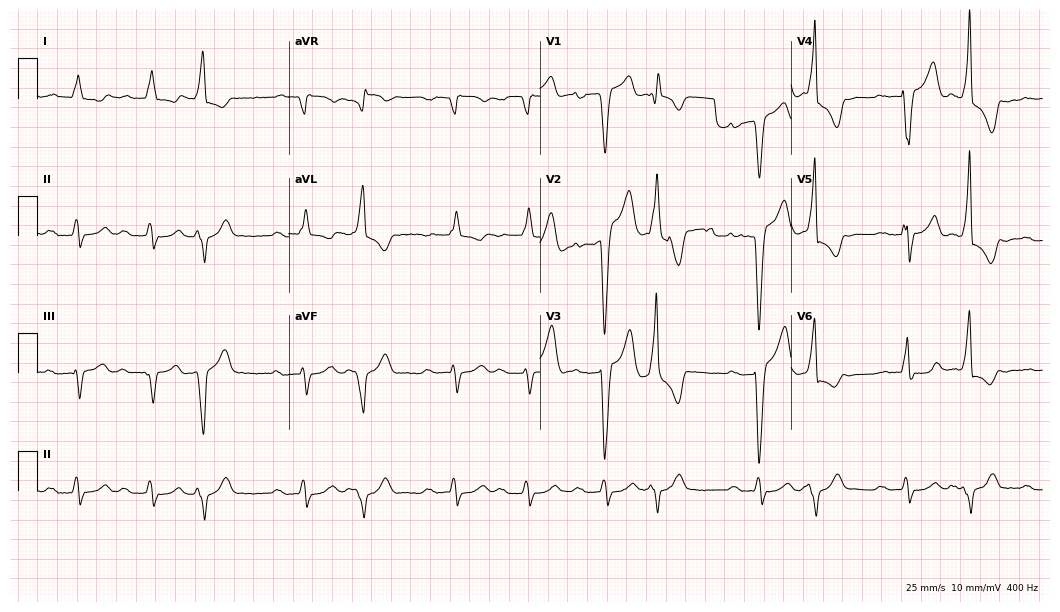
Standard 12-lead ECG recorded from a male, 80 years old. The tracing shows first-degree AV block, left bundle branch block (LBBB).